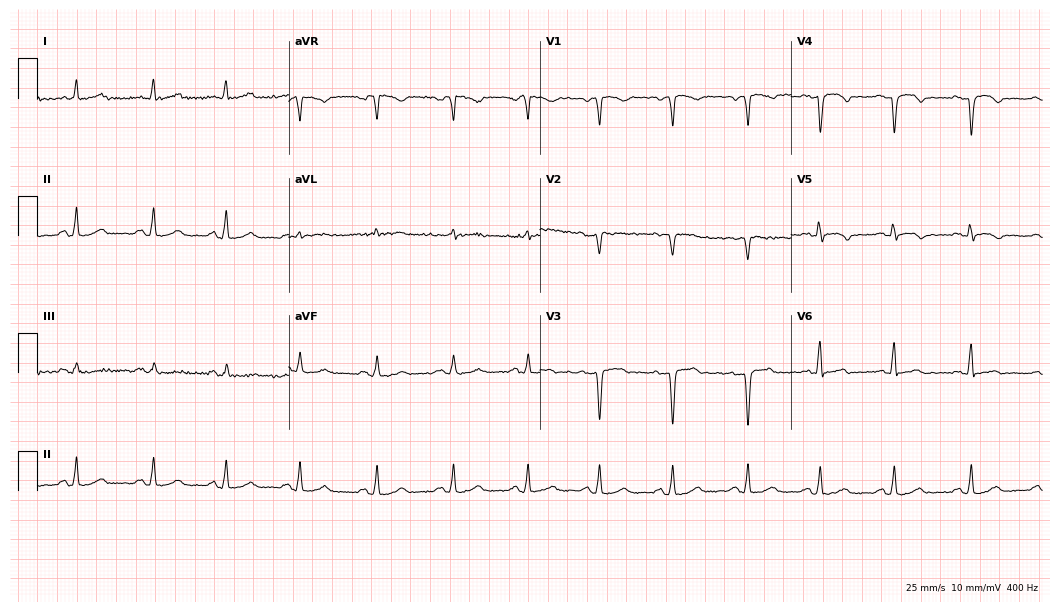
Standard 12-lead ECG recorded from a female patient, 33 years old. None of these six findings is recorded: first-degree AV block, right bundle branch block, left bundle branch block, sinus bradycardia, atrial fibrillation, sinus tachycardia.